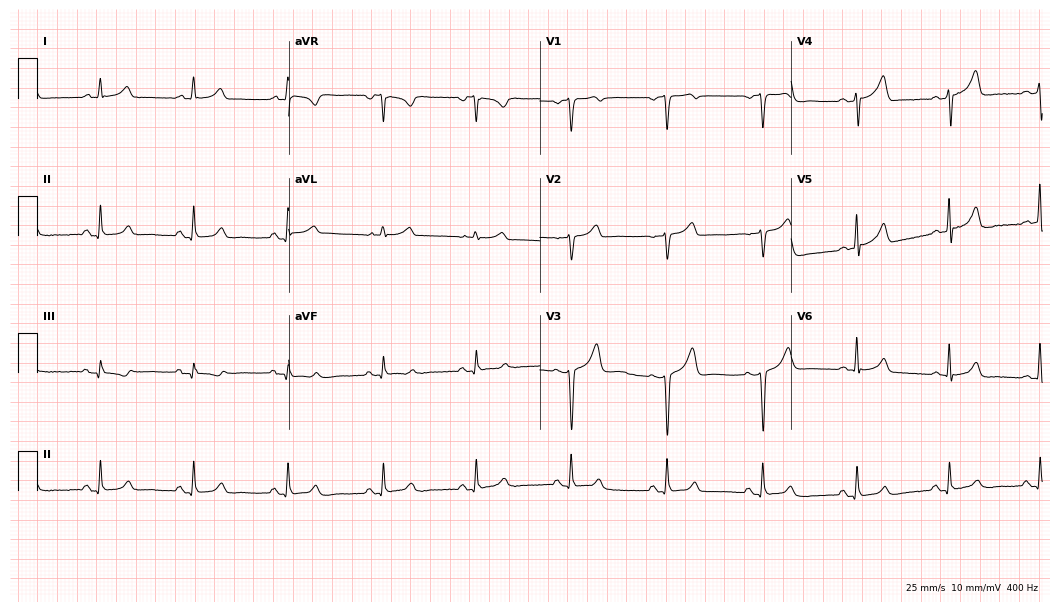
Resting 12-lead electrocardiogram. Patient: a 60-year-old male. Read as a normal ECG.